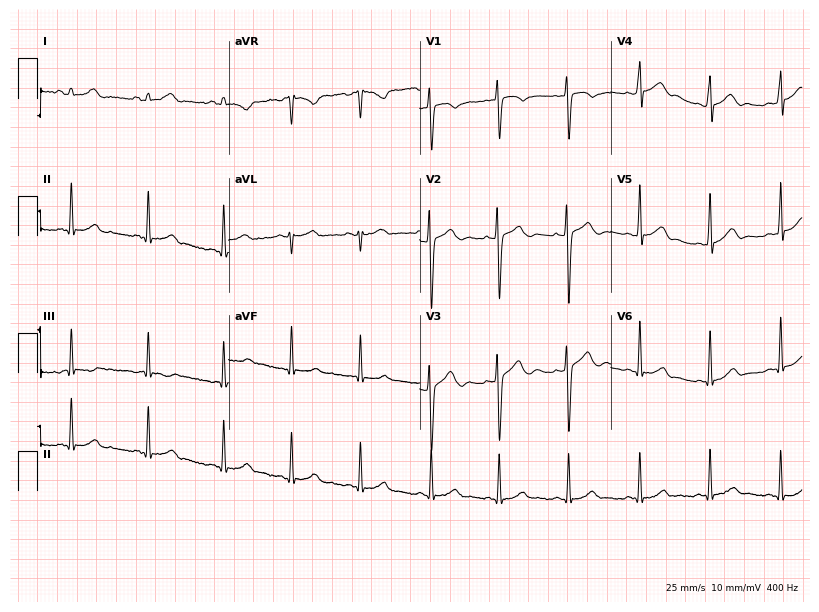
ECG — a female patient, 17 years old. Labelled as a normal ECG.